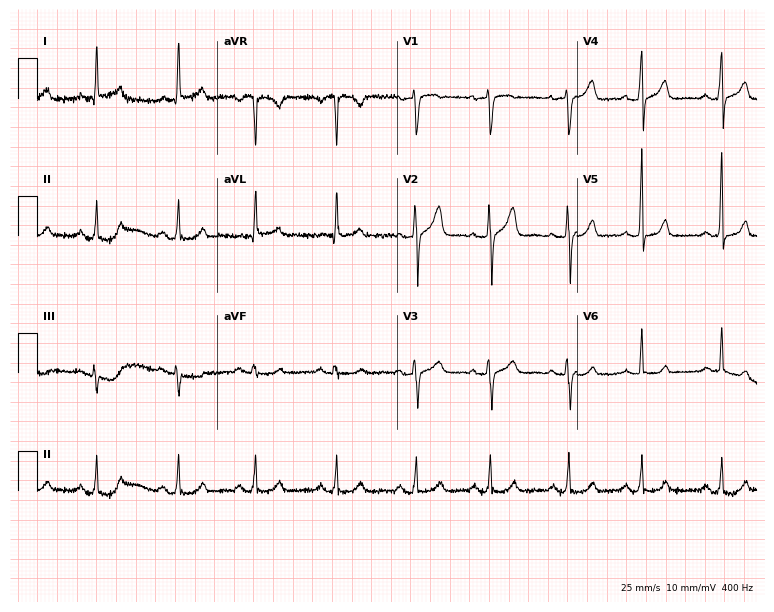
12-lead ECG from a woman, 56 years old (7.3-second recording at 400 Hz). Recorded interpretation: within normal limits.